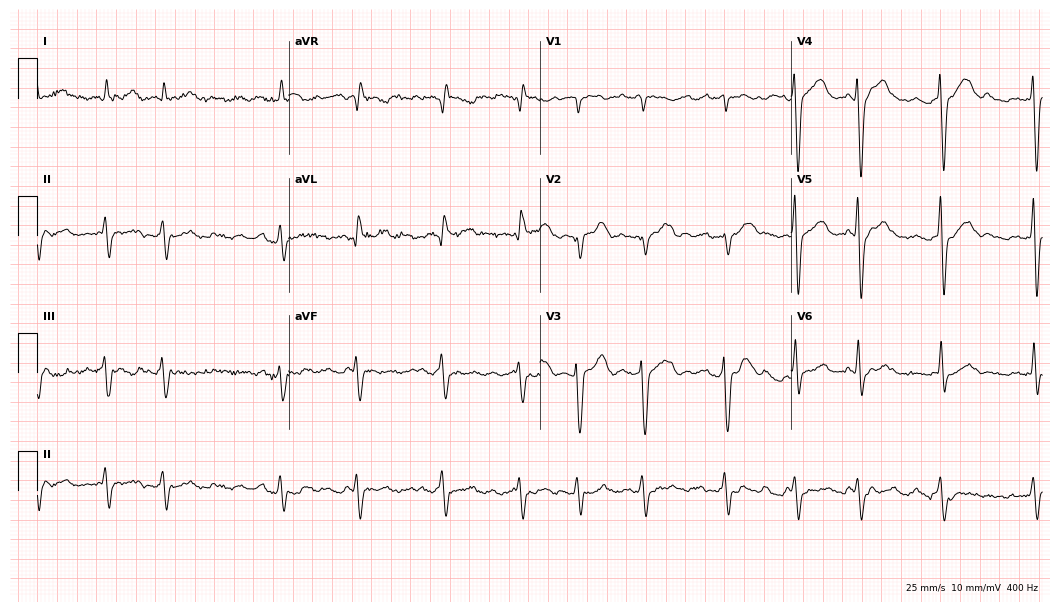
Resting 12-lead electrocardiogram (10.2-second recording at 400 Hz). Patient: a 52-year-old man. None of these six findings is recorded: first-degree AV block, right bundle branch block (RBBB), left bundle branch block (LBBB), sinus bradycardia, atrial fibrillation (AF), sinus tachycardia. Other findings, if any, are not listed.